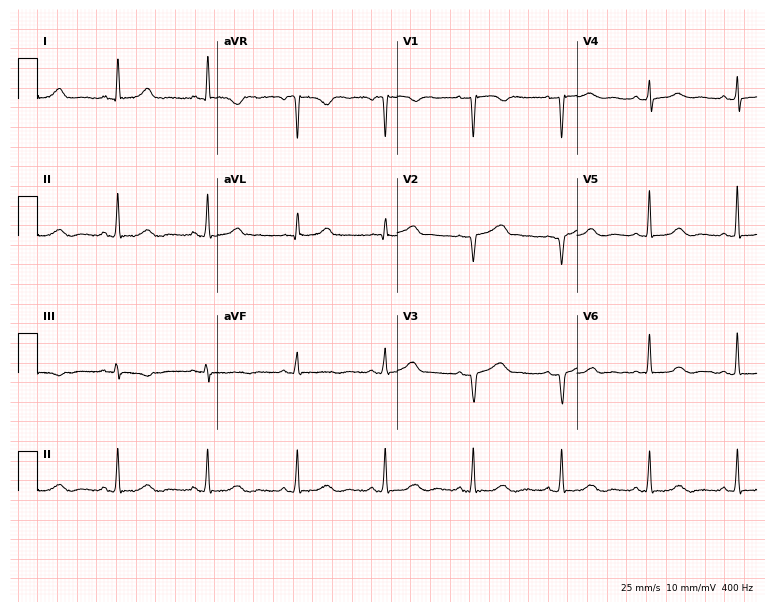
Standard 12-lead ECG recorded from a 70-year-old woman (7.3-second recording at 400 Hz). None of these six findings is recorded: first-degree AV block, right bundle branch block (RBBB), left bundle branch block (LBBB), sinus bradycardia, atrial fibrillation (AF), sinus tachycardia.